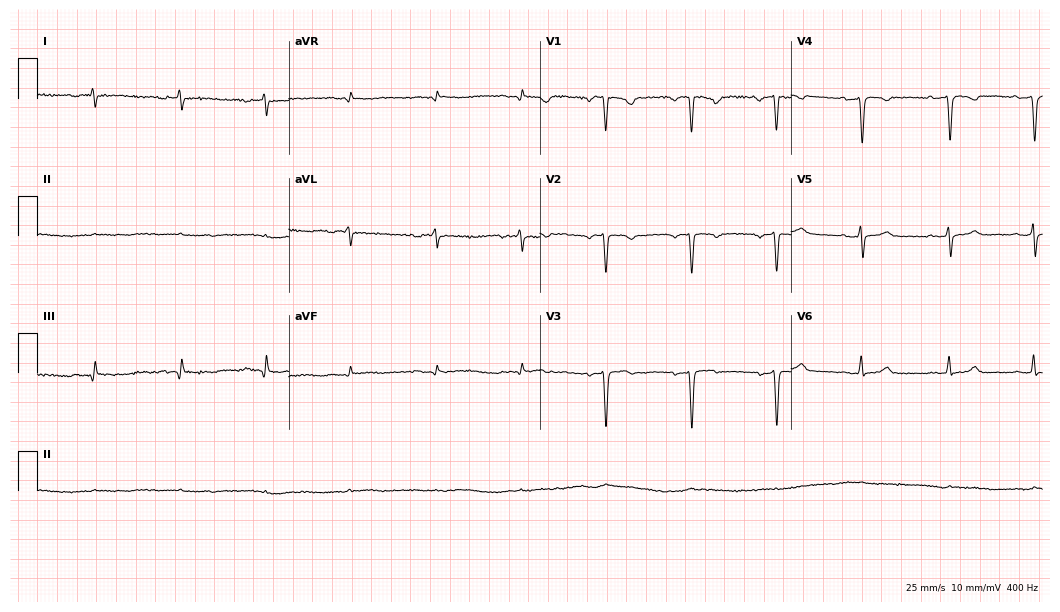
Resting 12-lead electrocardiogram. Patient: a woman, 40 years old. None of these six findings is recorded: first-degree AV block, right bundle branch block, left bundle branch block, sinus bradycardia, atrial fibrillation, sinus tachycardia.